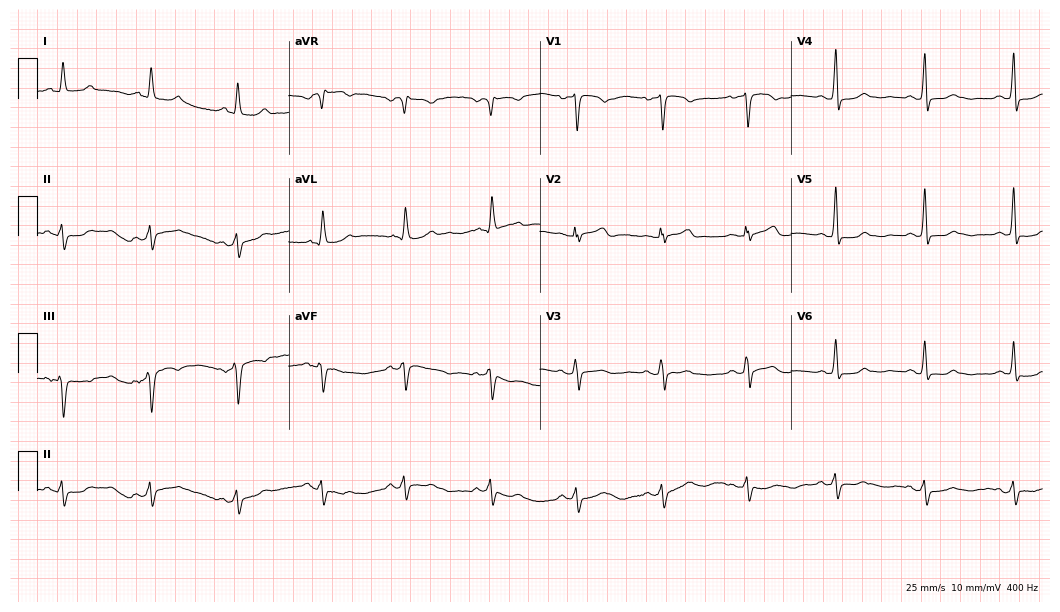
12-lead ECG from a woman, 59 years old (10.2-second recording at 400 Hz). No first-degree AV block, right bundle branch block, left bundle branch block, sinus bradycardia, atrial fibrillation or sinus tachycardia recorded for this tracing. Only these six findings were labelled.